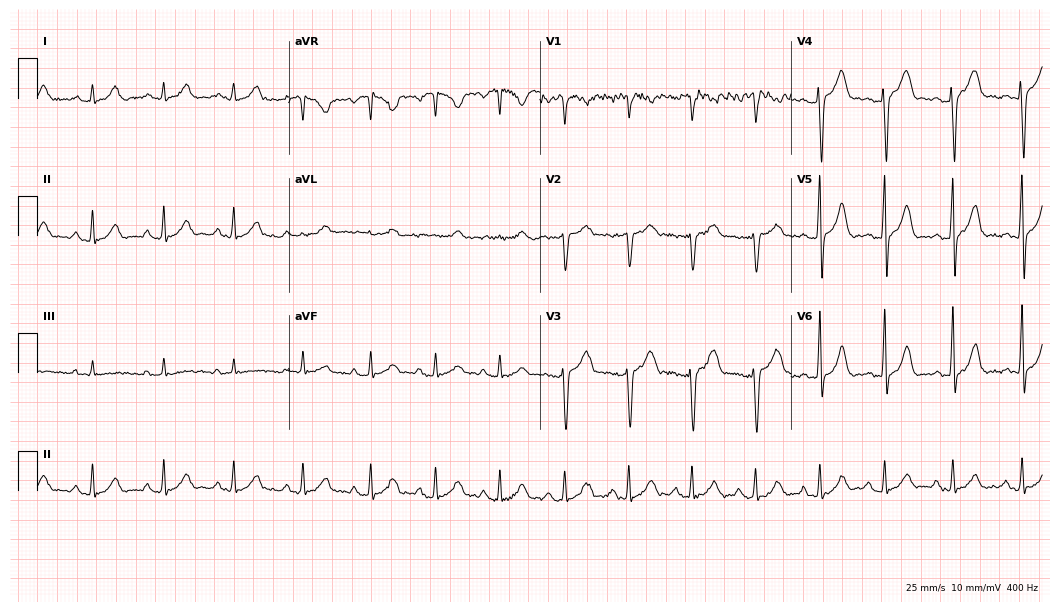
Electrocardiogram, a 23-year-old female. Overall reading on record: normal ECG.